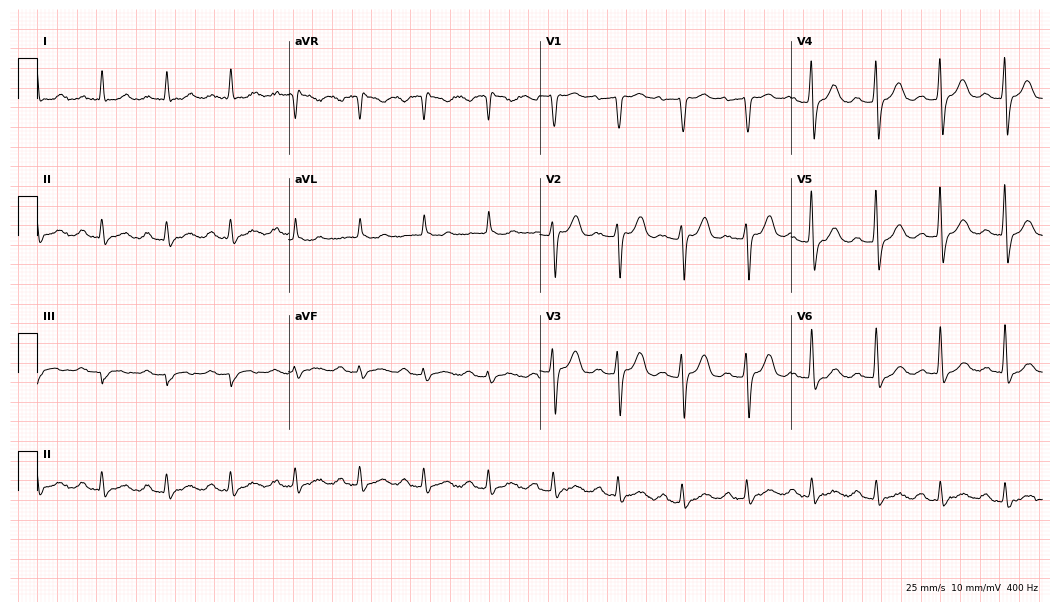
12-lead ECG from a man, 79 years old. Findings include first-degree AV block.